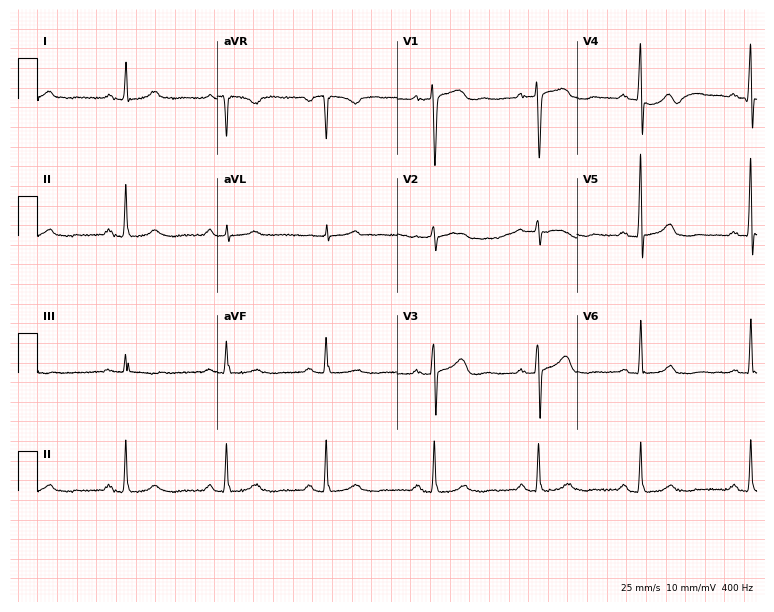
ECG — a female patient, 60 years old. Labelled as a normal ECG.